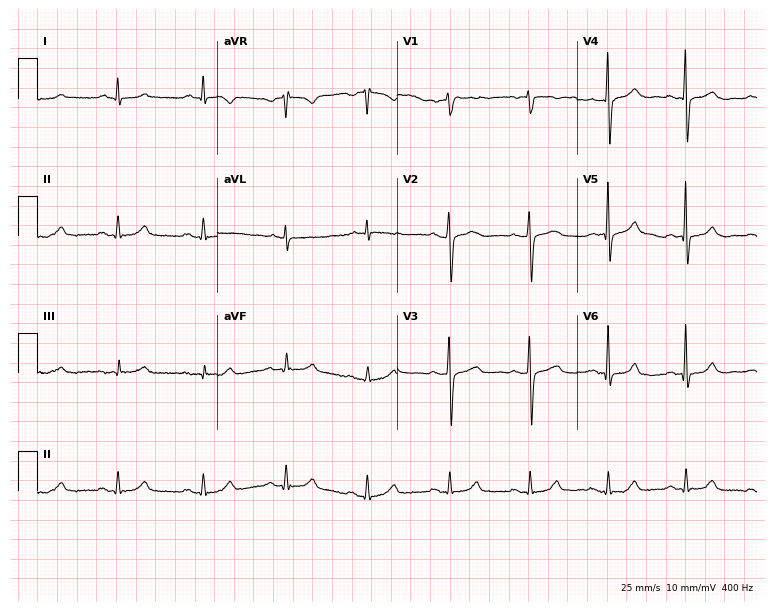
Resting 12-lead electrocardiogram. Patient: a 53-year-old male. Read as a normal ECG.